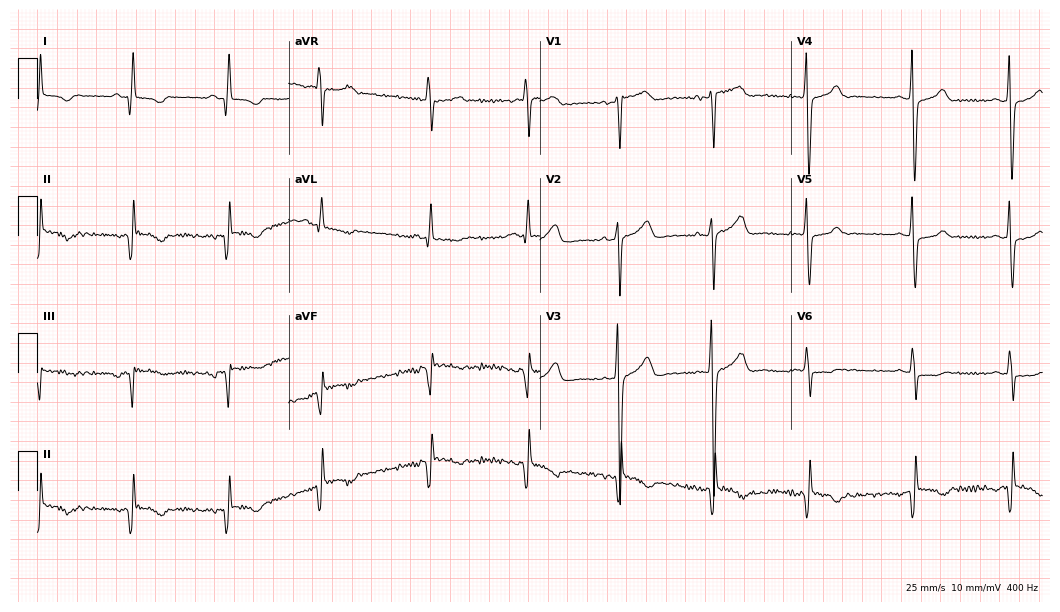
Resting 12-lead electrocardiogram. Patient: a woman, 35 years old. None of these six findings is recorded: first-degree AV block, right bundle branch block, left bundle branch block, sinus bradycardia, atrial fibrillation, sinus tachycardia.